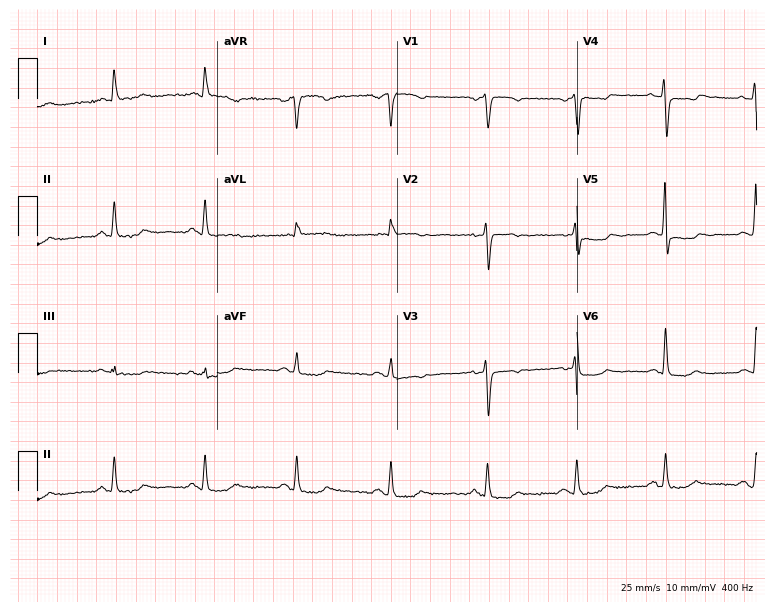
Standard 12-lead ECG recorded from a 66-year-old female patient. None of these six findings is recorded: first-degree AV block, right bundle branch block, left bundle branch block, sinus bradycardia, atrial fibrillation, sinus tachycardia.